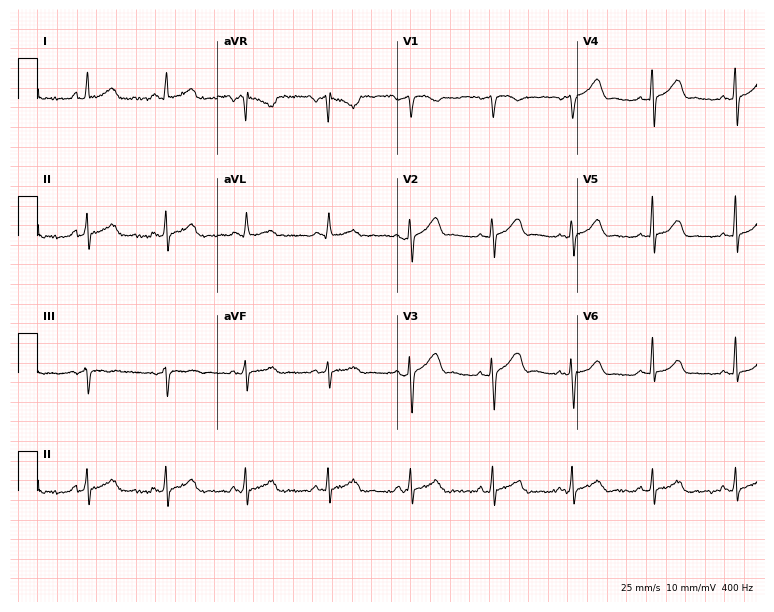
12-lead ECG (7.3-second recording at 400 Hz) from a 39-year-old female patient. Labelled as a normal ECG.